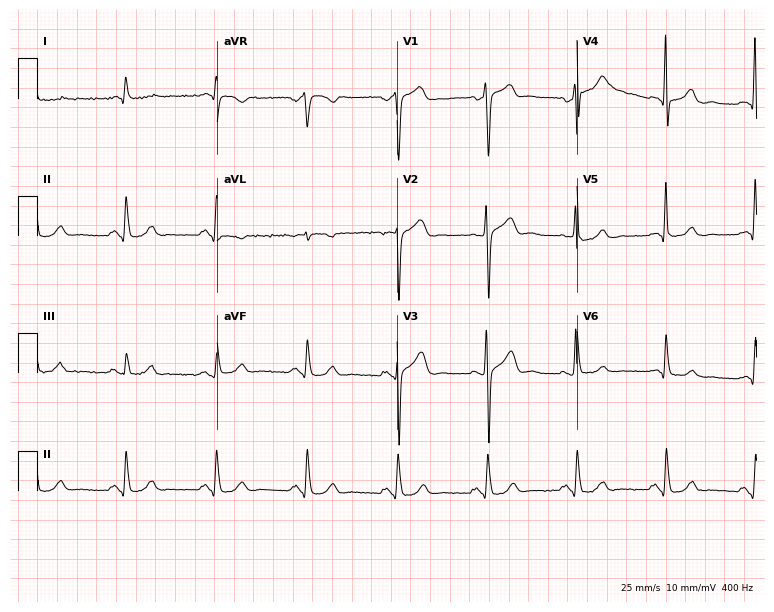
Electrocardiogram, a 74-year-old male patient. Of the six screened findings (first-degree AV block, right bundle branch block, left bundle branch block, sinus bradycardia, atrial fibrillation, sinus tachycardia), none is recorded. Other findings, if any, are not listed.